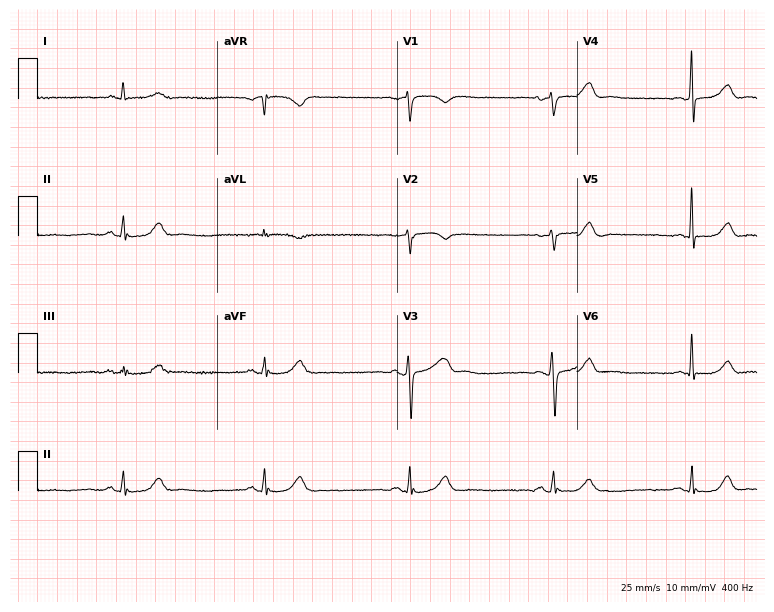
Electrocardiogram (7.3-second recording at 400 Hz), a 75-year-old male patient. Interpretation includes sinus bradycardia (a sinus rate of 50 beats per minute or less).